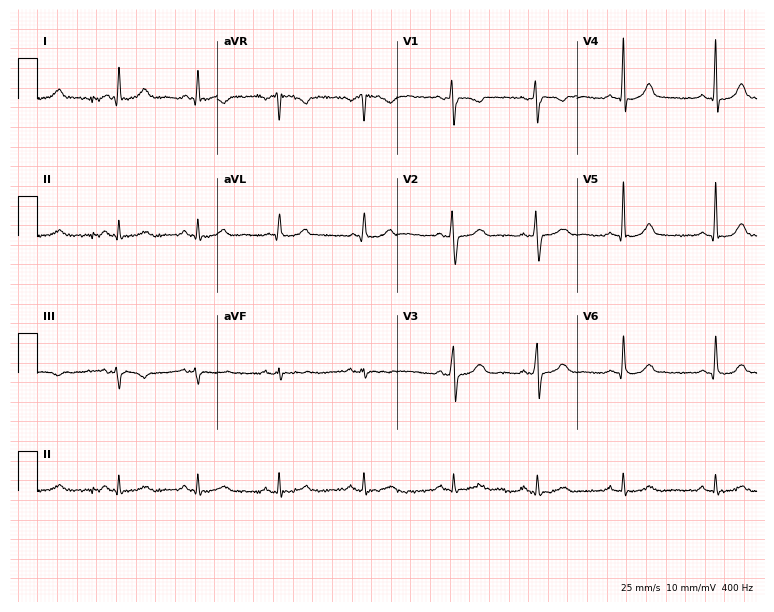
ECG (7.3-second recording at 400 Hz) — a male, 56 years old. Labelled as a normal ECG.